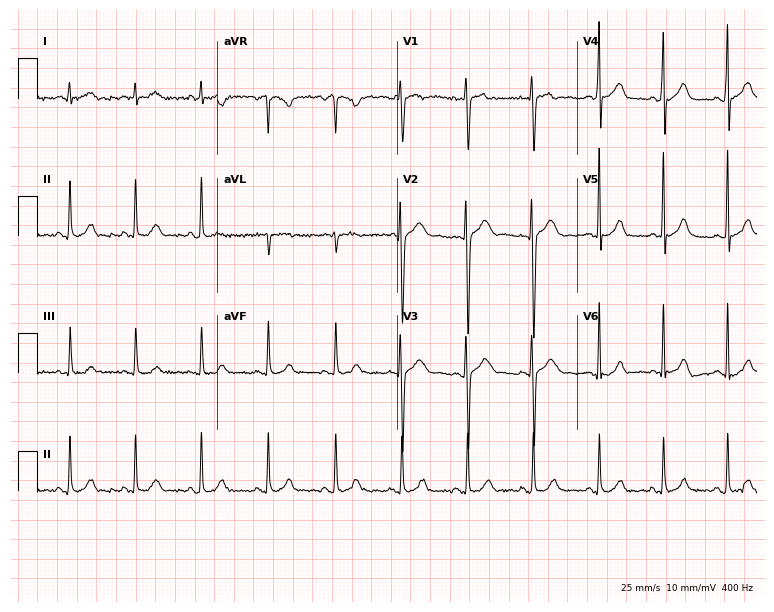
12-lead ECG (7.3-second recording at 400 Hz) from a 32-year-old male. Labelled as a normal ECG.